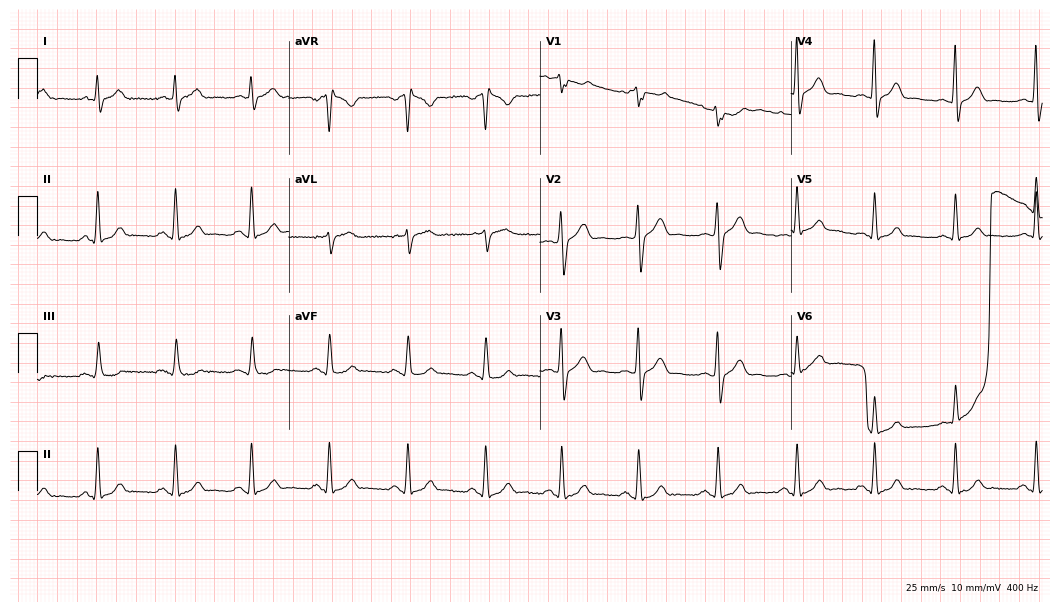
12-lead ECG (10.2-second recording at 400 Hz) from a man, 45 years old. Screened for six findings — first-degree AV block, right bundle branch block, left bundle branch block, sinus bradycardia, atrial fibrillation, sinus tachycardia — none is recorded. Other findings, if any, are not listed.